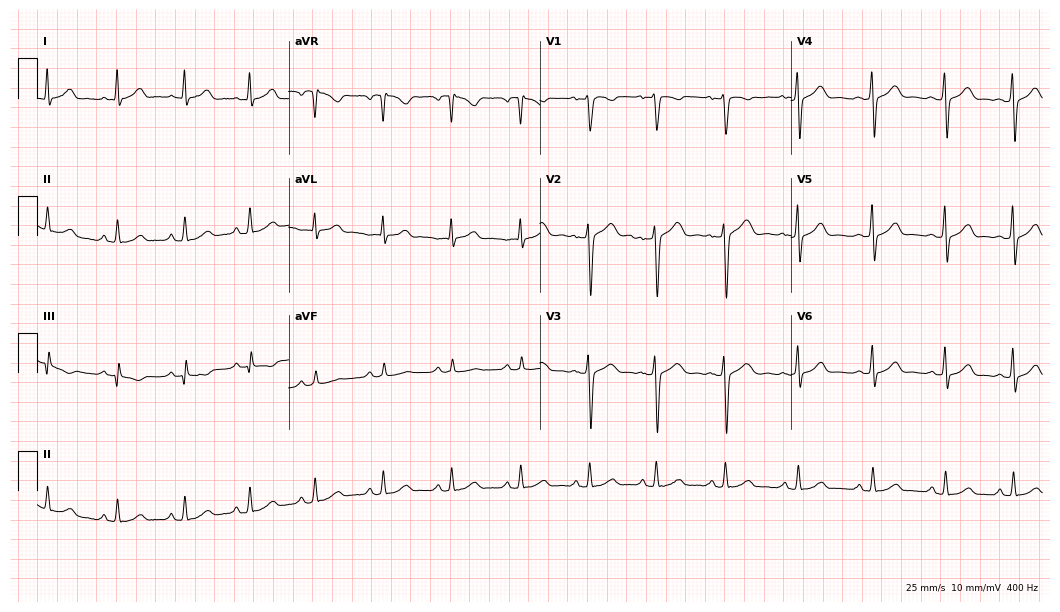
Electrocardiogram (10.2-second recording at 400 Hz), a 35-year-old woman. Overall reading on record: normal ECG.